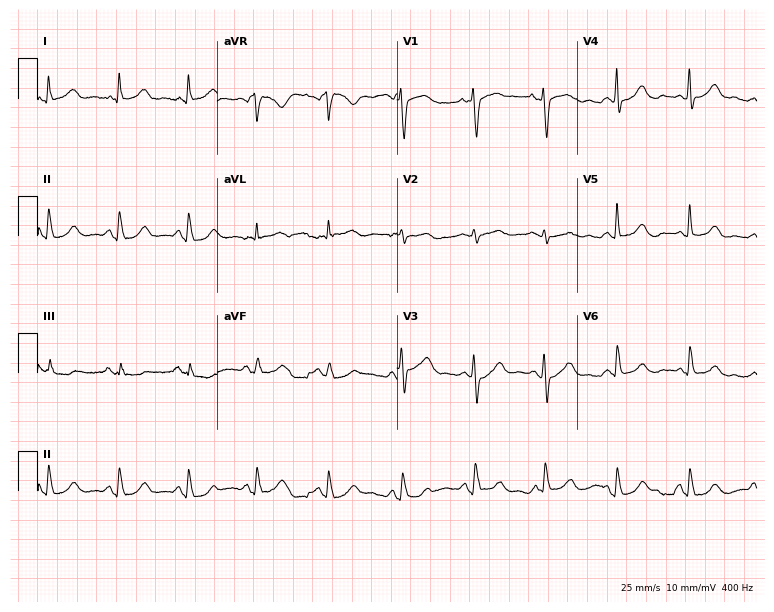
12-lead ECG (7.3-second recording at 400 Hz) from a female, 61 years old. Labelled as a normal ECG.